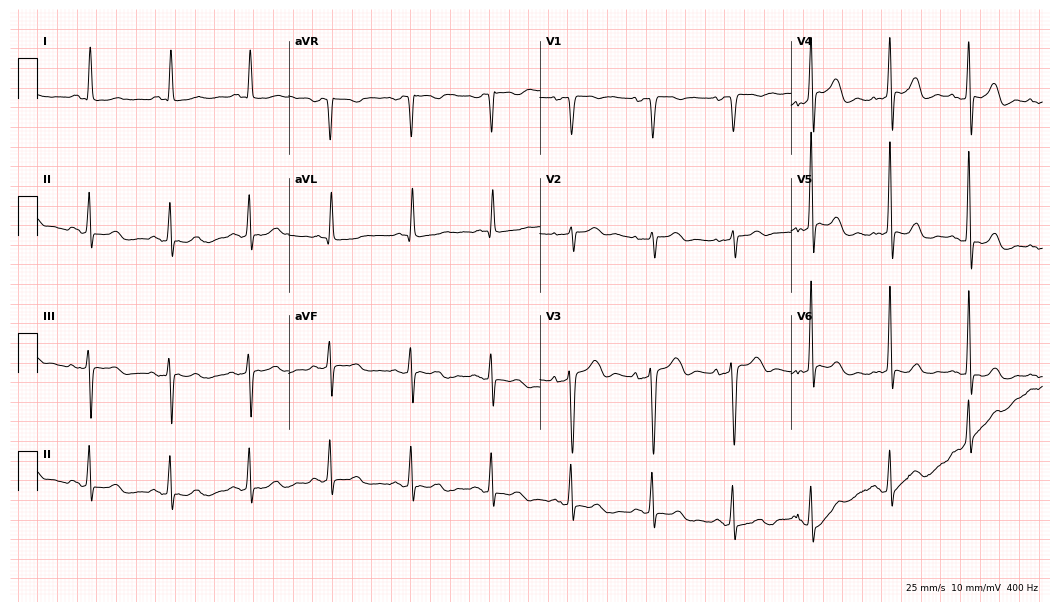
Standard 12-lead ECG recorded from a female, 64 years old. None of these six findings is recorded: first-degree AV block, right bundle branch block (RBBB), left bundle branch block (LBBB), sinus bradycardia, atrial fibrillation (AF), sinus tachycardia.